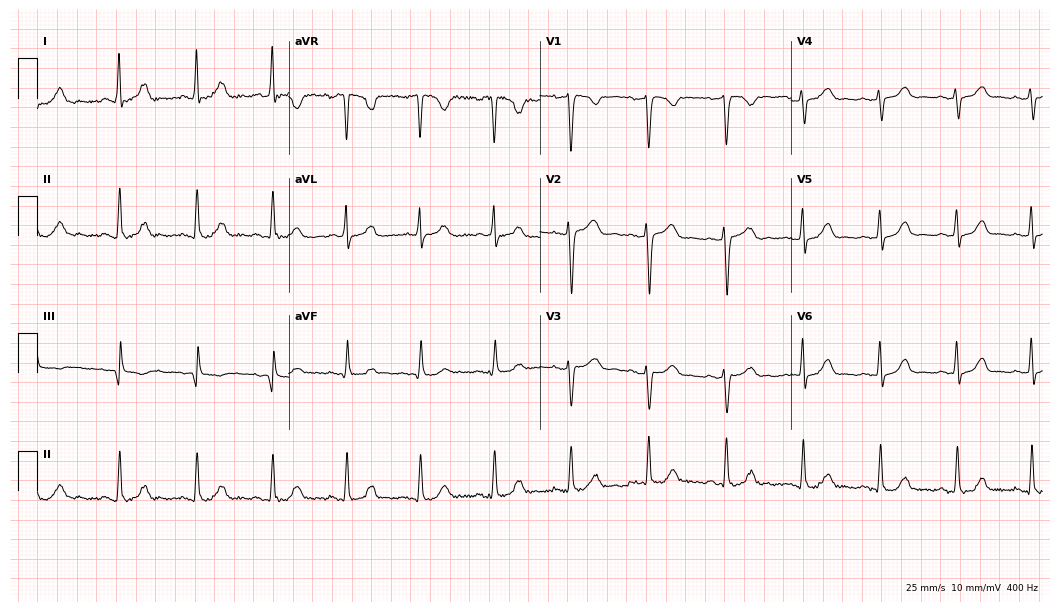
Electrocardiogram (10.2-second recording at 400 Hz), a woman, 48 years old. Overall reading on record: normal ECG.